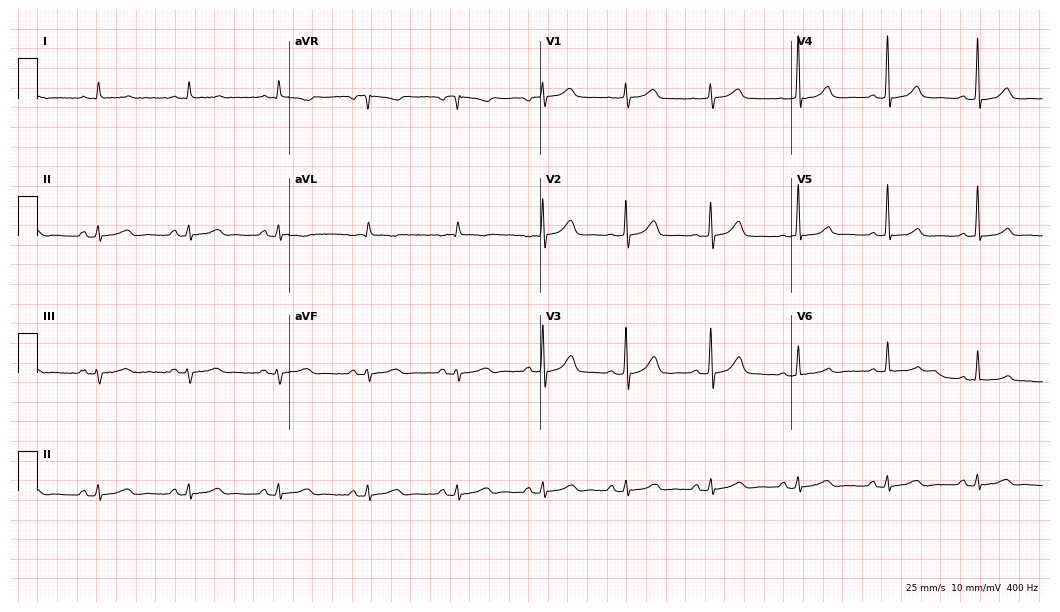
Standard 12-lead ECG recorded from a 68-year-old female. Read as a normal ECG.